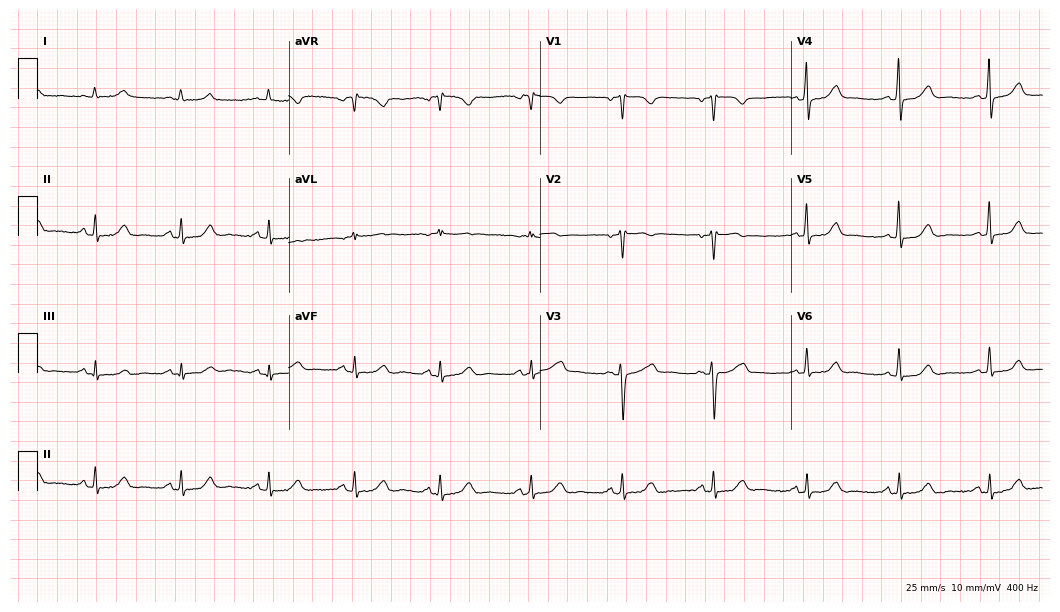
ECG (10.2-second recording at 400 Hz) — a woman, 54 years old. Labelled as a normal ECG.